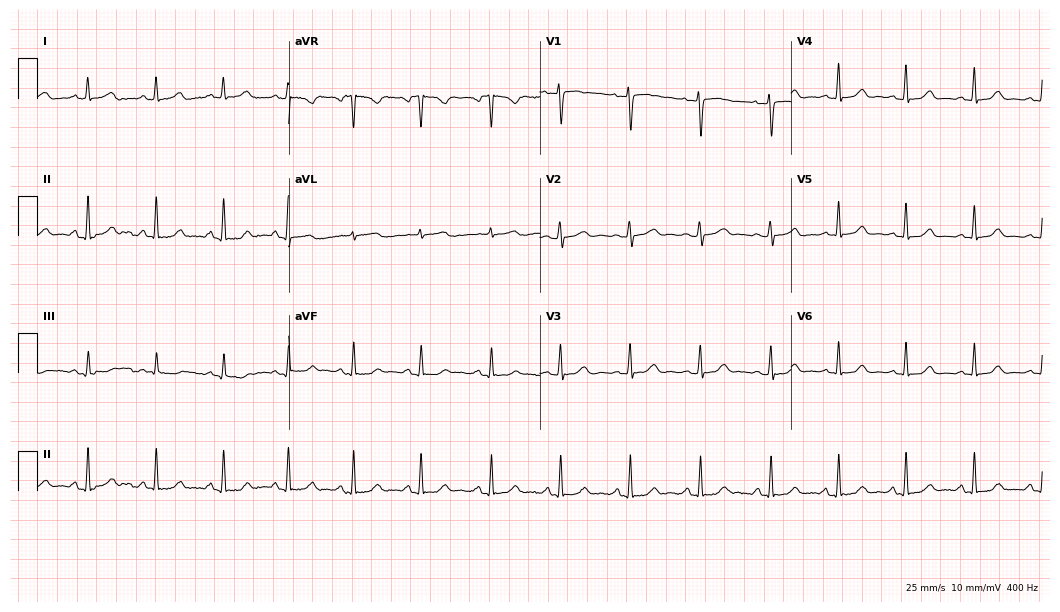
Resting 12-lead electrocardiogram. Patient: a 40-year-old female. Read as a normal ECG.